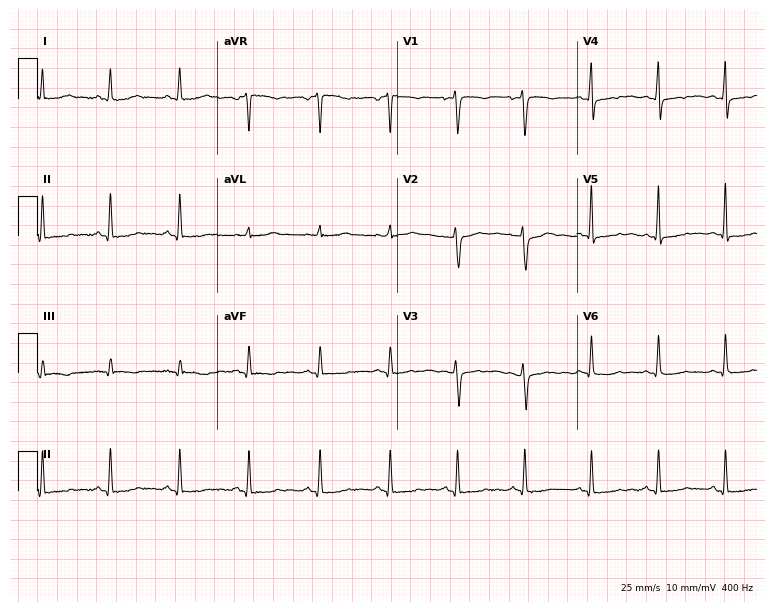
12-lead ECG from a female patient, 52 years old (7.3-second recording at 400 Hz). No first-degree AV block, right bundle branch block, left bundle branch block, sinus bradycardia, atrial fibrillation or sinus tachycardia recorded for this tracing.